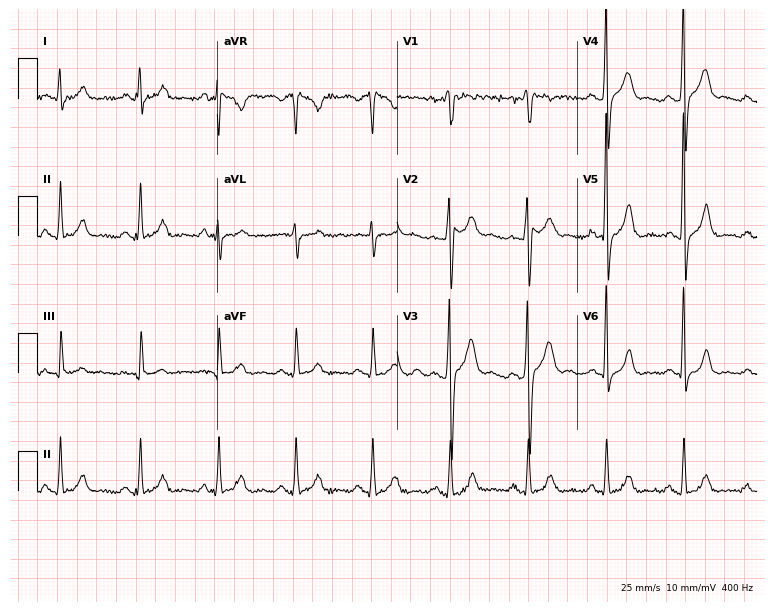
12-lead ECG from a man, 38 years old. No first-degree AV block, right bundle branch block, left bundle branch block, sinus bradycardia, atrial fibrillation or sinus tachycardia recorded for this tracing. Only these six findings were labelled.